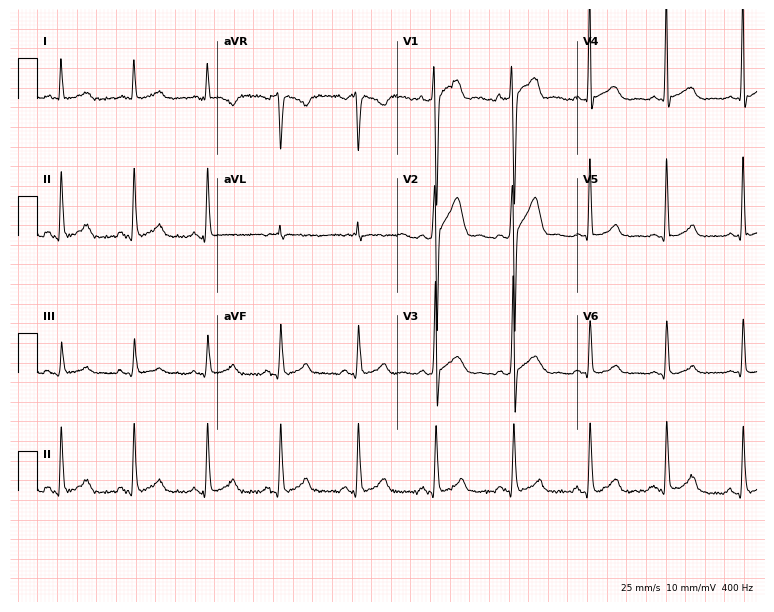
Standard 12-lead ECG recorded from a male patient, 33 years old (7.3-second recording at 400 Hz). None of these six findings is recorded: first-degree AV block, right bundle branch block (RBBB), left bundle branch block (LBBB), sinus bradycardia, atrial fibrillation (AF), sinus tachycardia. Only these six findings were labelled.